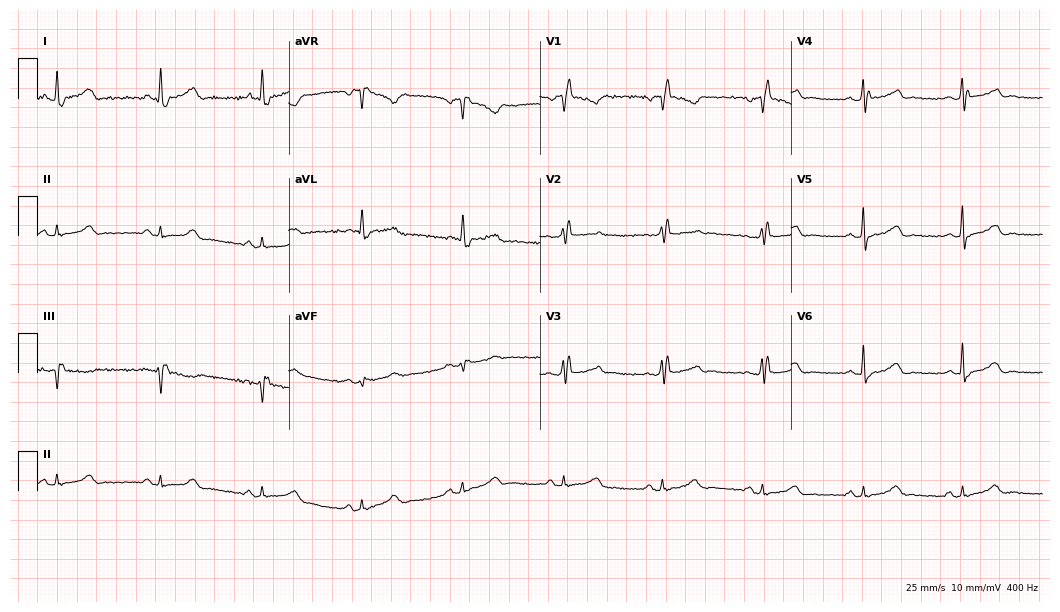
12-lead ECG from a 76-year-old female patient. Shows right bundle branch block.